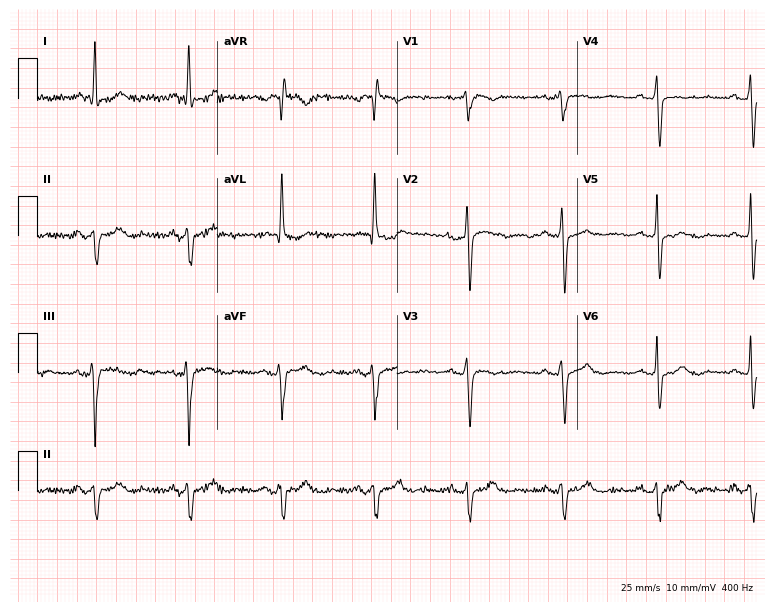
Resting 12-lead electrocardiogram (7.3-second recording at 400 Hz). Patient: an 85-year-old male. None of these six findings is recorded: first-degree AV block, right bundle branch block, left bundle branch block, sinus bradycardia, atrial fibrillation, sinus tachycardia.